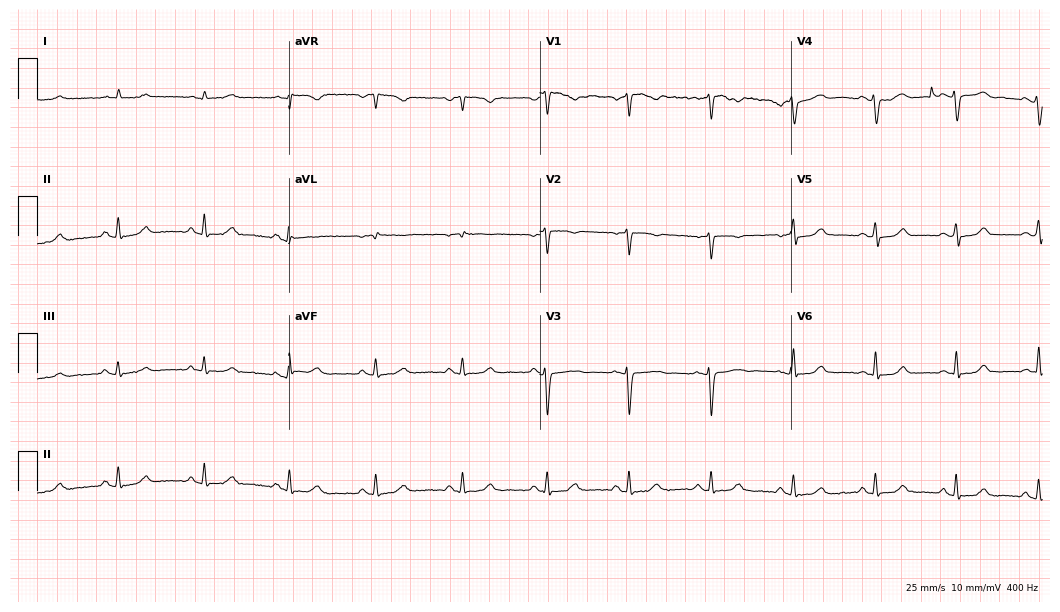
Electrocardiogram (10.2-second recording at 400 Hz), a woman, 49 years old. Overall reading on record: normal ECG.